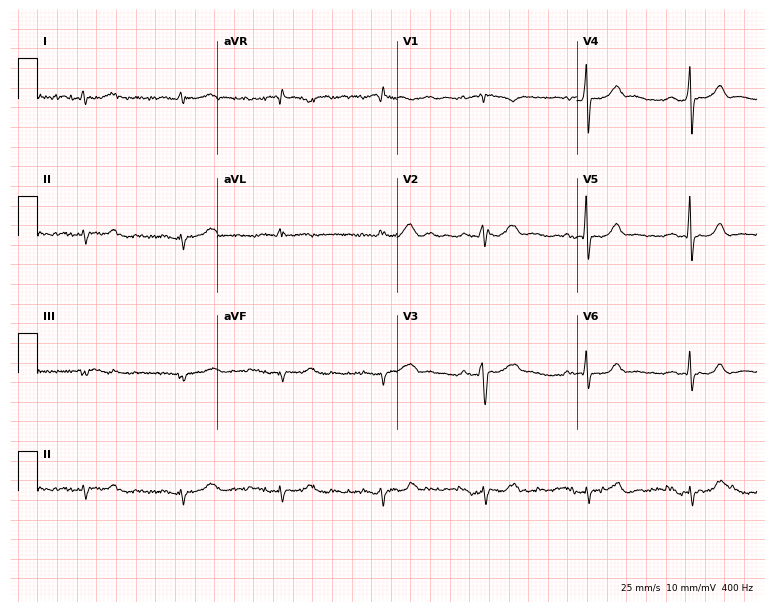
Resting 12-lead electrocardiogram. Patient: a female, 61 years old. None of these six findings is recorded: first-degree AV block, right bundle branch block, left bundle branch block, sinus bradycardia, atrial fibrillation, sinus tachycardia.